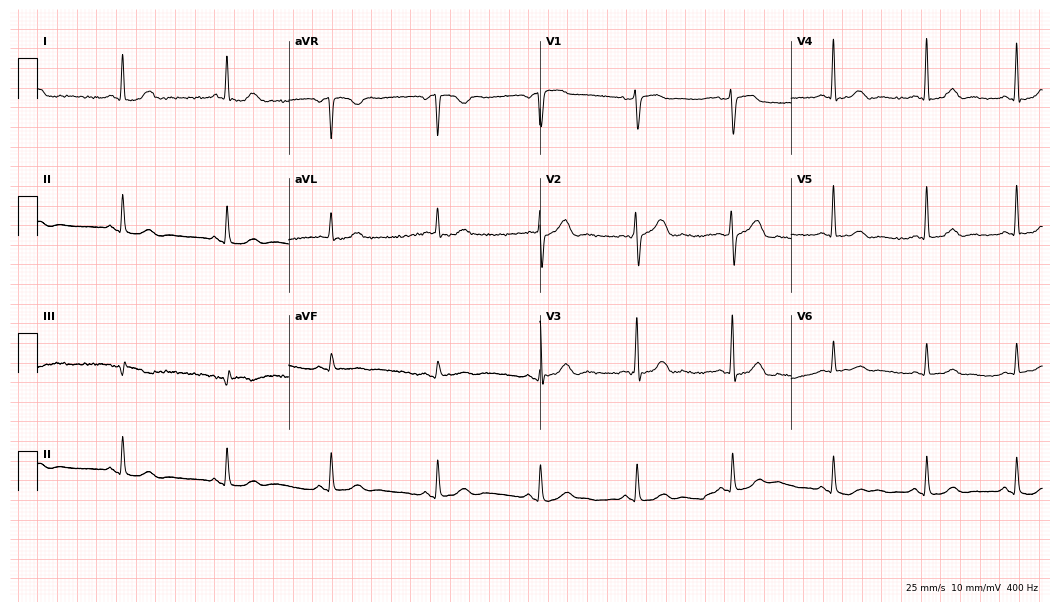
12-lead ECG from a woman, 74 years old. Labelled as a normal ECG.